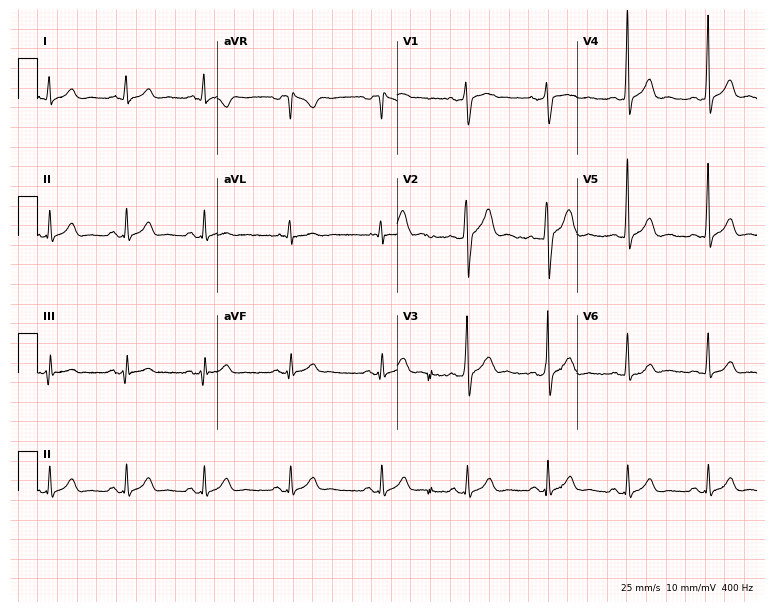
Resting 12-lead electrocardiogram (7.3-second recording at 400 Hz). Patient: a 30-year-old male. Read as a normal ECG.